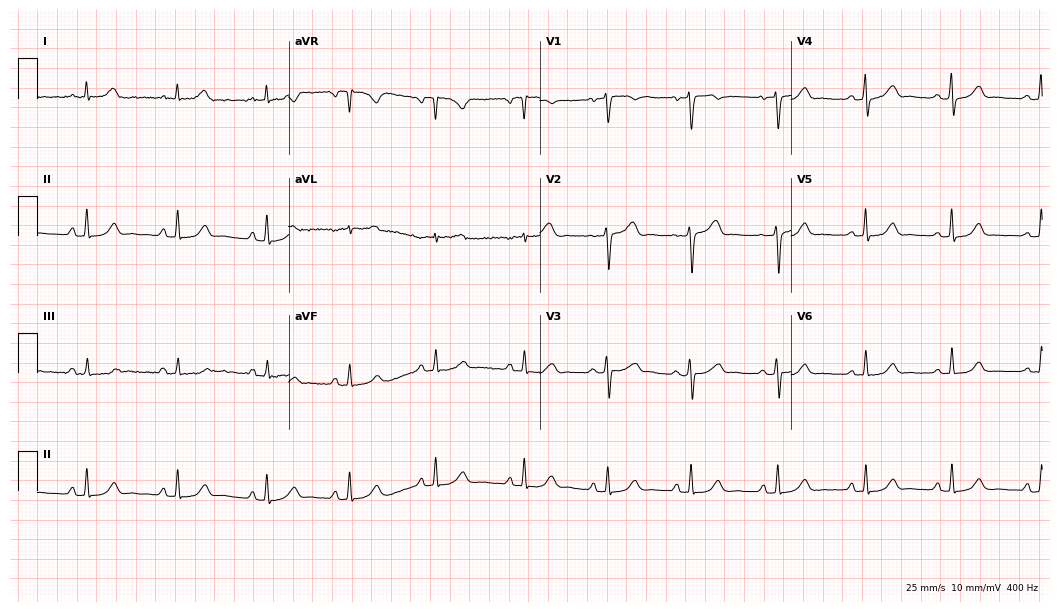
ECG (10.2-second recording at 400 Hz) — a 39-year-old female. Labelled as a normal ECG.